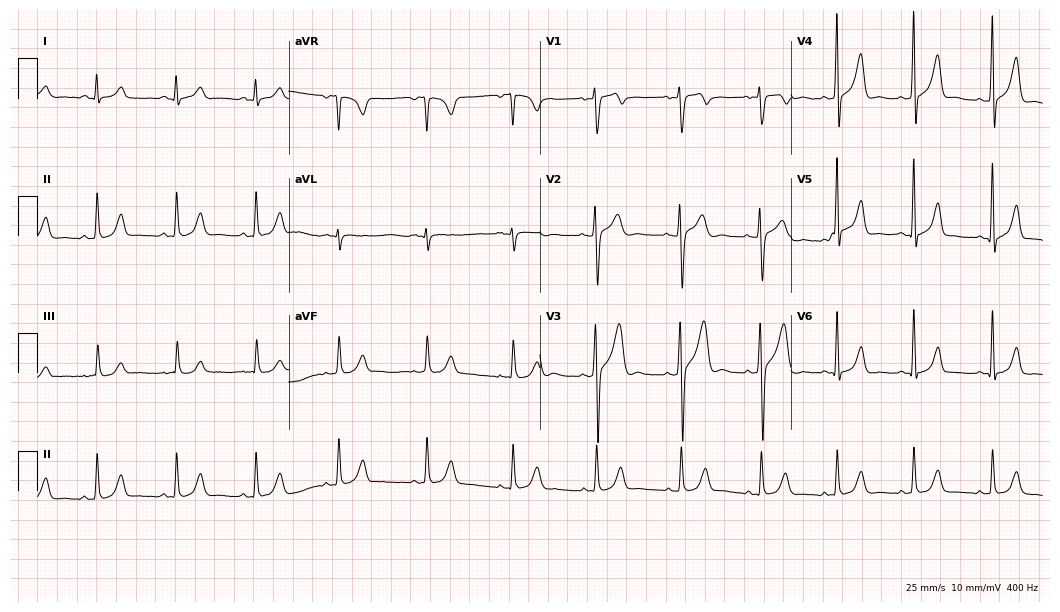
Electrocardiogram (10.2-second recording at 400 Hz), a 26-year-old male patient. Overall reading on record: normal ECG.